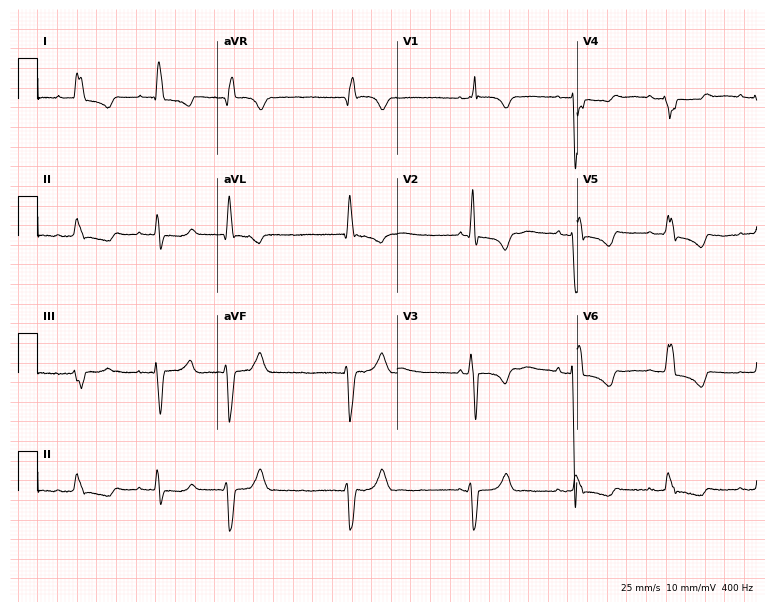
Electrocardiogram (7.3-second recording at 400 Hz), a 75-year-old woman. Interpretation includes right bundle branch block, left bundle branch block, sinus bradycardia (a sinus rate of 50 beats per minute or less).